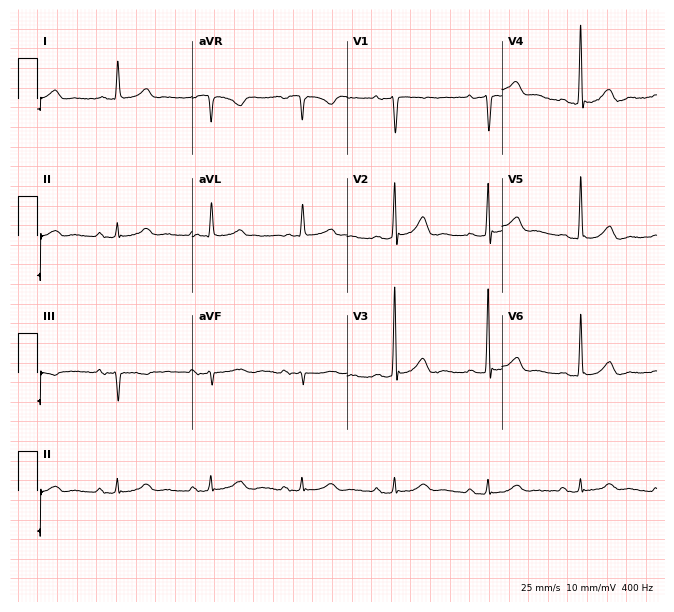
Resting 12-lead electrocardiogram (6.3-second recording at 400 Hz). Patient: a 76-year-old woman. Read as a normal ECG.